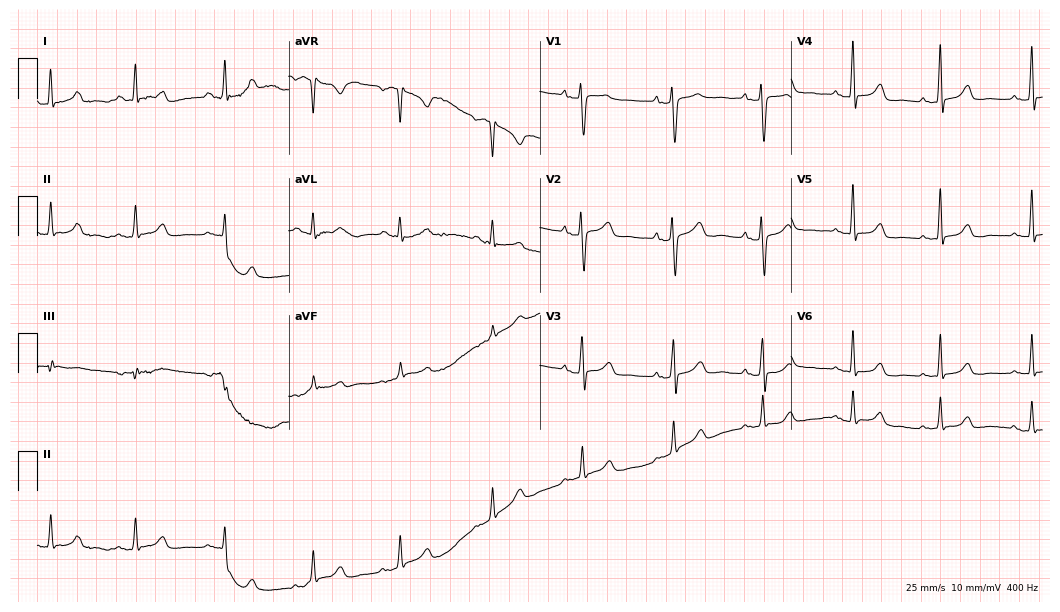
Standard 12-lead ECG recorded from a female patient, 60 years old (10.2-second recording at 400 Hz). None of these six findings is recorded: first-degree AV block, right bundle branch block (RBBB), left bundle branch block (LBBB), sinus bradycardia, atrial fibrillation (AF), sinus tachycardia.